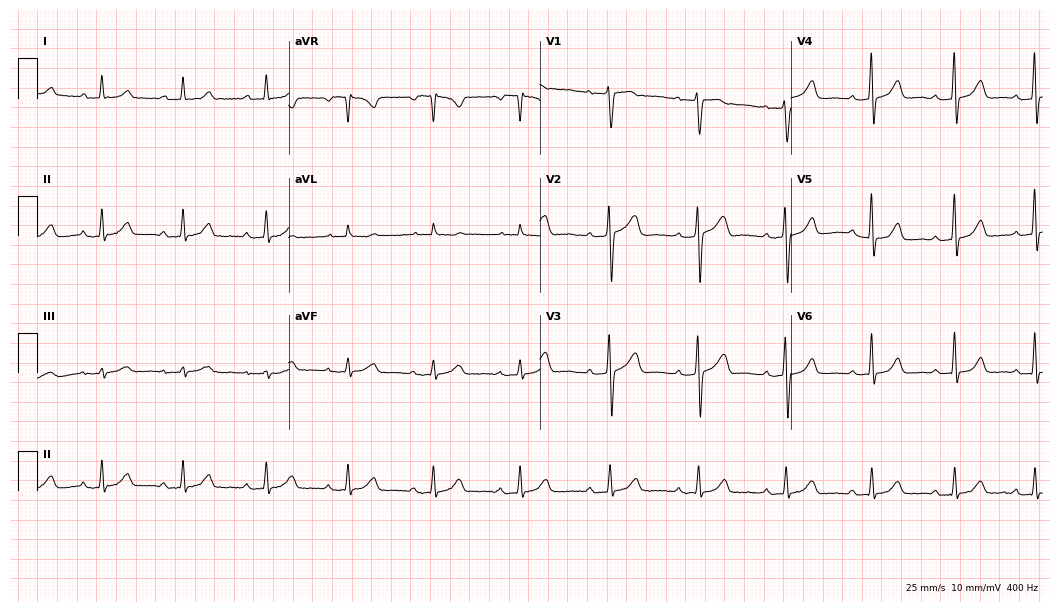
12-lead ECG (10.2-second recording at 400 Hz) from a woman, 35 years old. Labelled as a normal ECG.